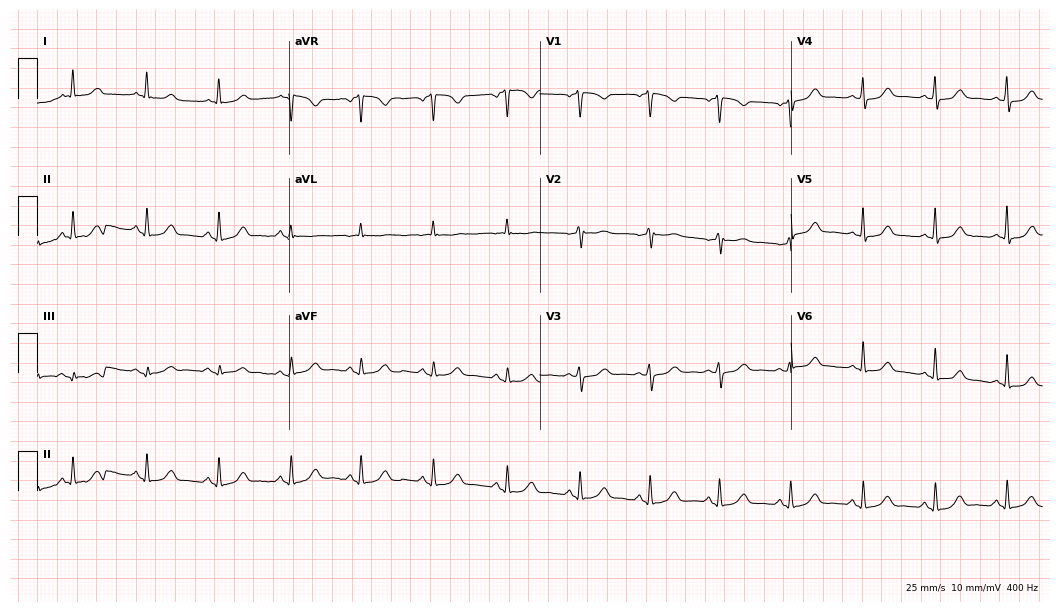
Resting 12-lead electrocardiogram (10.2-second recording at 400 Hz). Patient: a 50-year-old female. Read as a normal ECG.